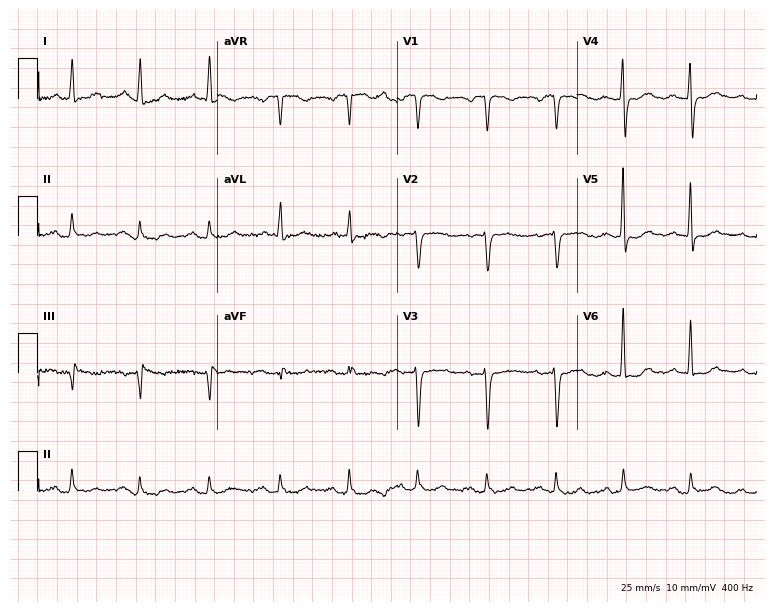
ECG (7.3-second recording at 400 Hz) — a 65-year-old female. Screened for six findings — first-degree AV block, right bundle branch block, left bundle branch block, sinus bradycardia, atrial fibrillation, sinus tachycardia — none is recorded.